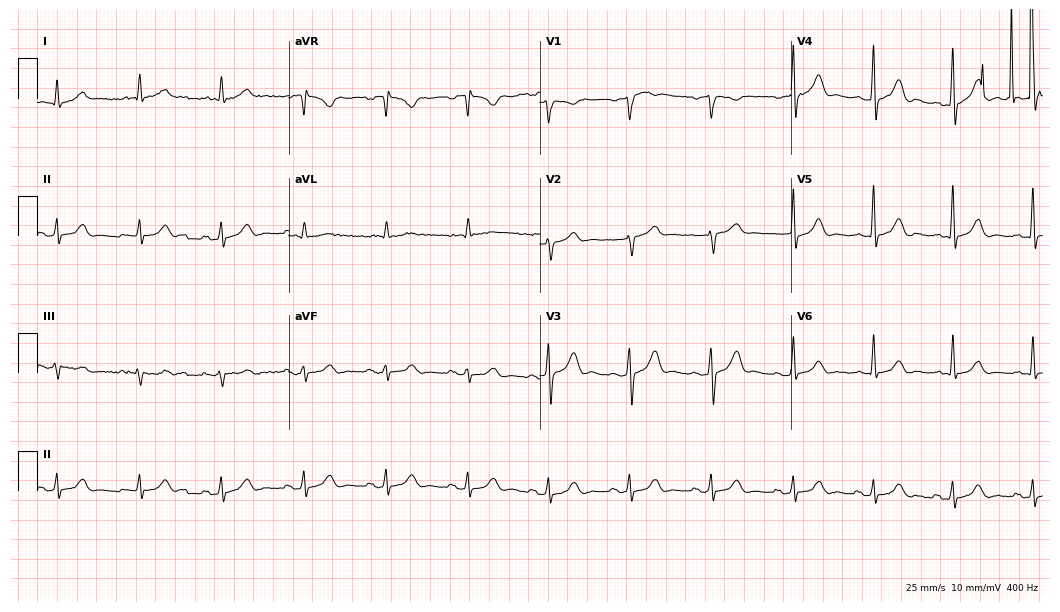
12-lead ECG from a man, 67 years old. Labelled as a normal ECG.